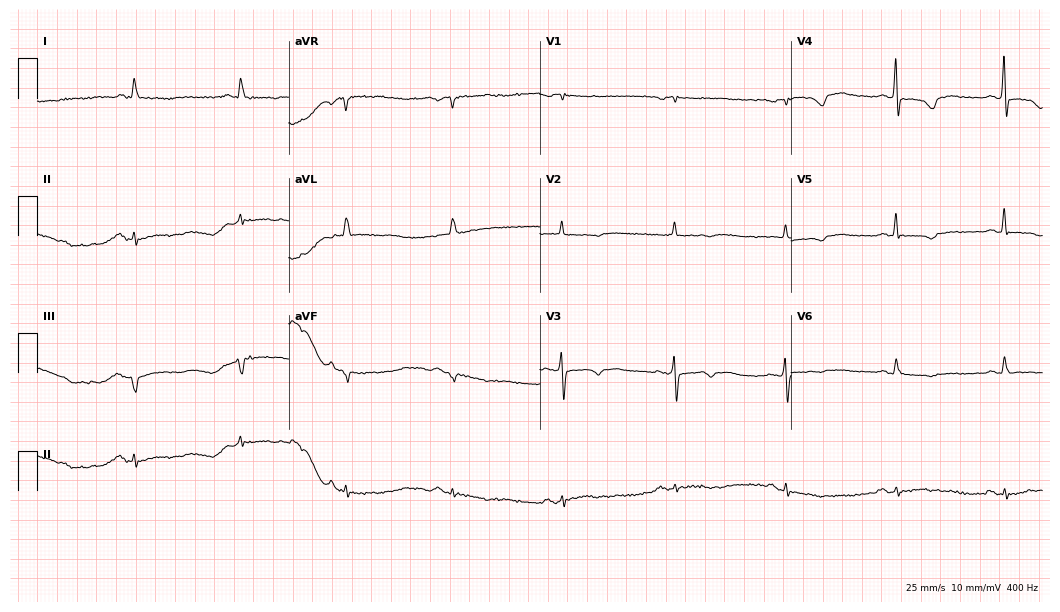
12-lead ECG from a 57-year-old woman. Screened for six findings — first-degree AV block, right bundle branch block, left bundle branch block, sinus bradycardia, atrial fibrillation, sinus tachycardia — none is recorded. Other findings, if any, are not listed.